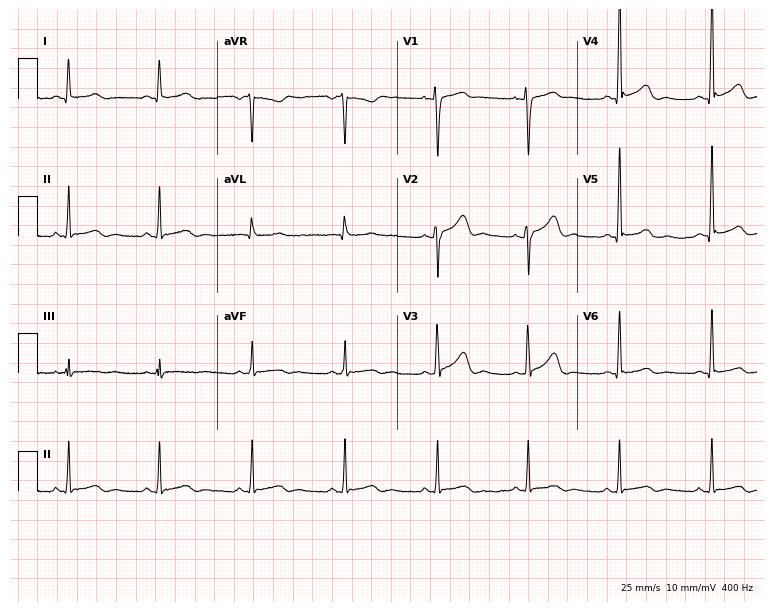
12-lead ECG from a 43-year-old man (7.3-second recording at 400 Hz). Recorded interpretation: within normal limits.